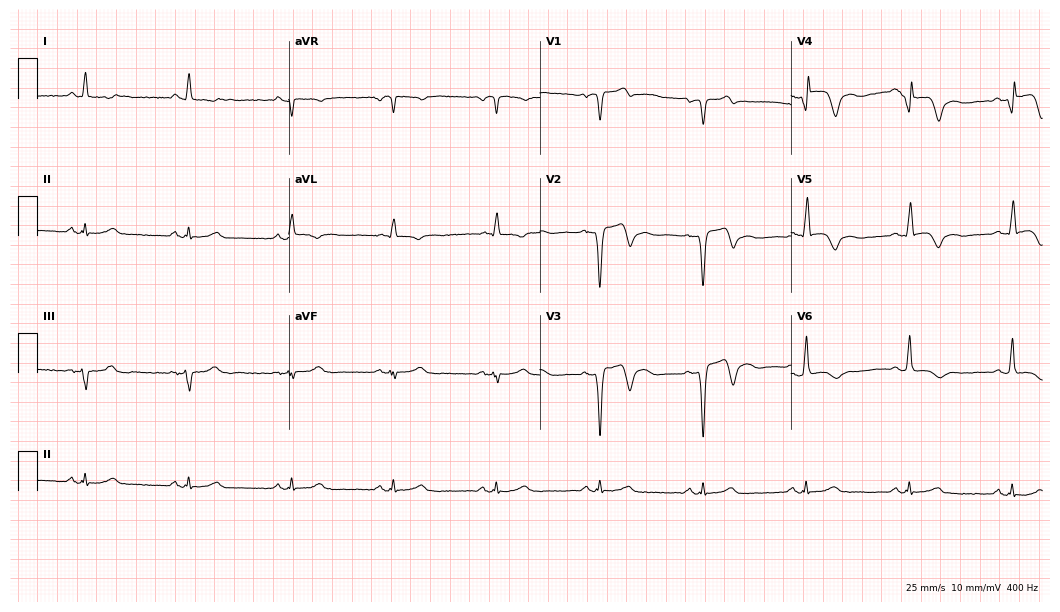
Electrocardiogram, a 64-year-old man. Of the six screened findings (first-degree AV block, right bundle branch block (RBBB), left bundle branch block (LBBB), sinus bradycardia, atrial fibrillation (AF), sinus tachycardia), none is recorded. Other findings, if any, are not listed.